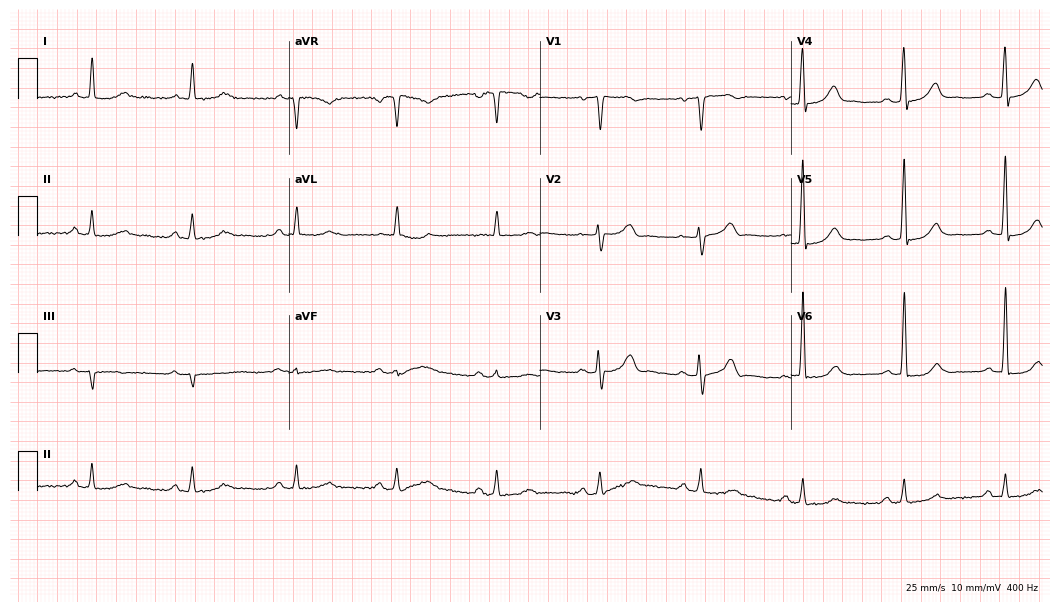
12-lead ECG from an 82-year-old man (10.2-second recording at 400 Hz). No first-degree AV block, right bundle branch block (RBBB), left bundle branch block (LBBB), sinus bradycardia, atrial fibrillation (AF) or sinus tachycardia recorded for this tracing. Only these six findings were labelled.